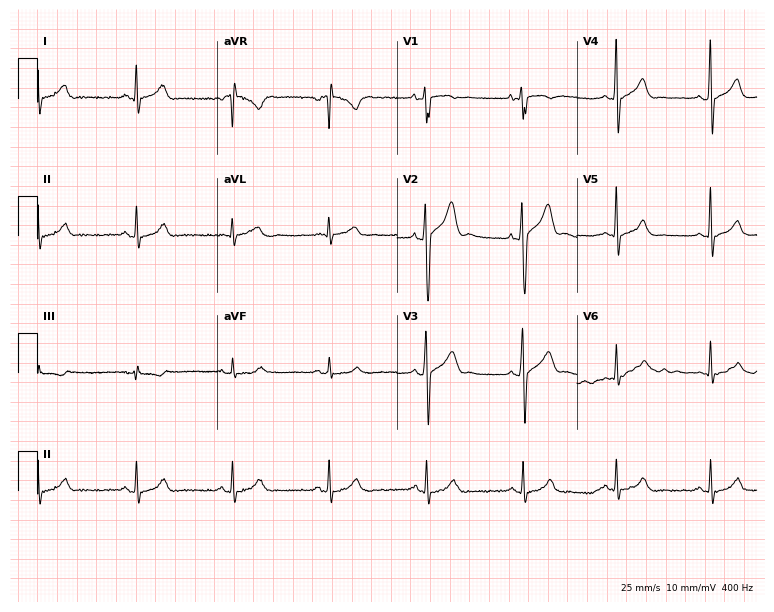
12-lead ECG (7.3-second recording at 400 Hz) from a 24-year-old man. Labelled as a normal ECG.